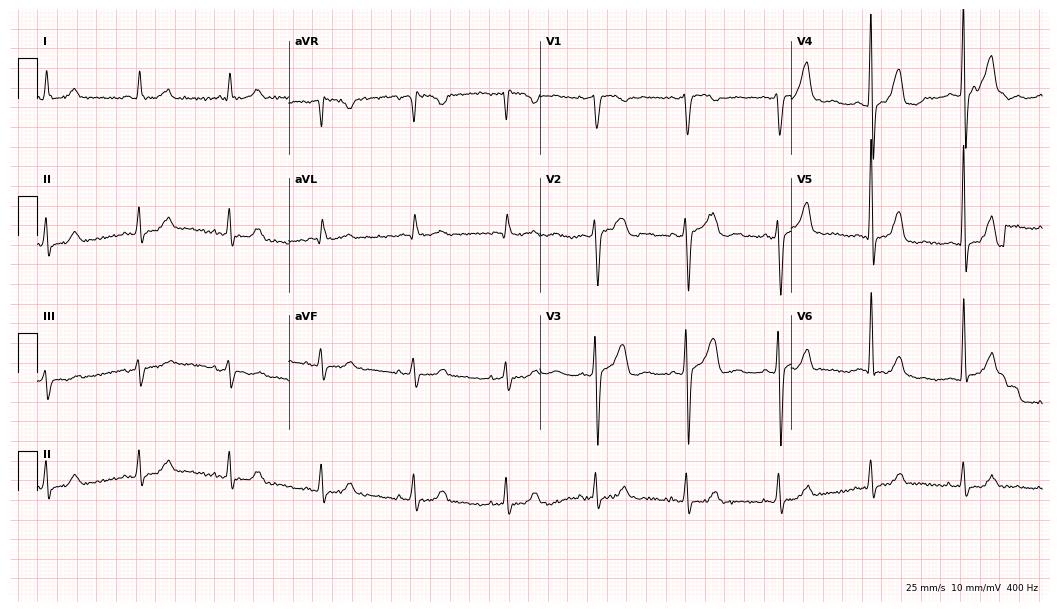
Electrocardiogram, a 73-year-old man. Overall reading on record: normal ECG.